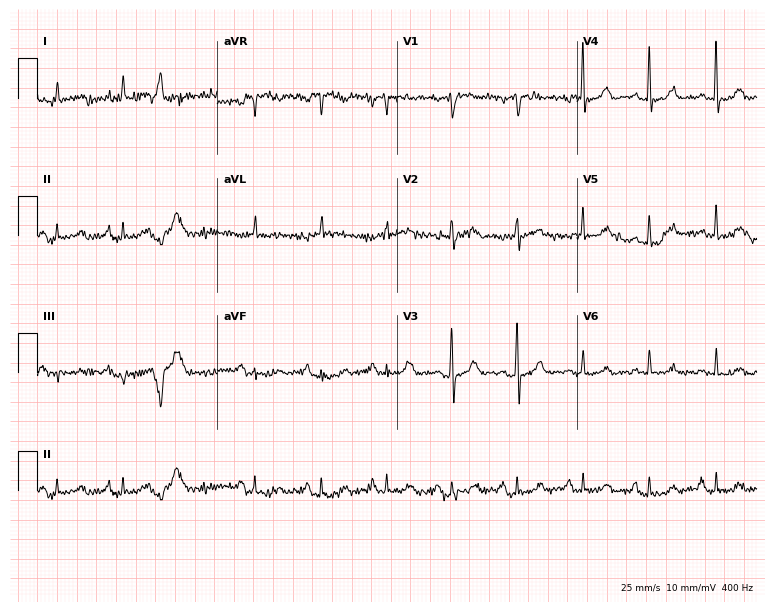
Standard 12-lead ECG recorded from an 84-year-old male. None of these six findings is recorded: first-degree AV block, right bundle branch block, left bundle branch block, sinus bradycardia, atrial fibrillation, sinus tachycardia. Only these six findings were labelled.